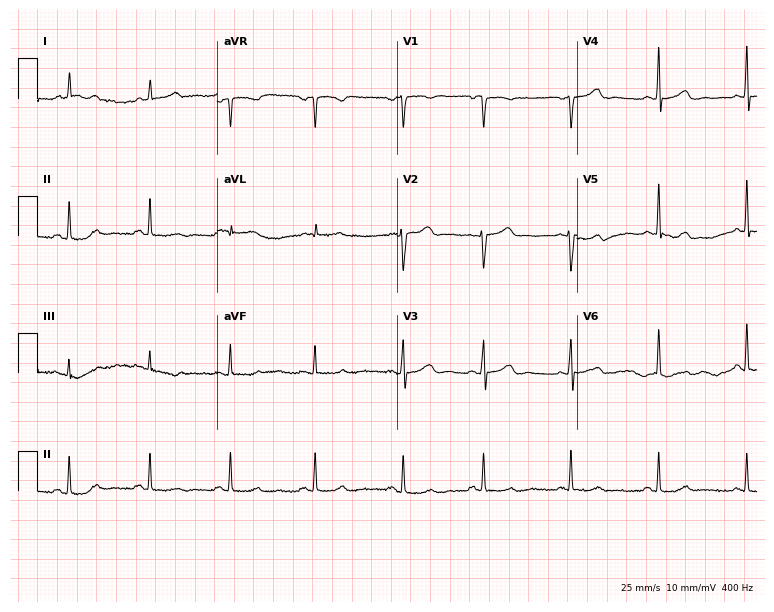
ECG — a 40-year-old female. Screened for six findings — first-degree AV block, right bundle branch block, left bundle branch block, sinus bradycardia, atrial fibrillation, sinus tachycardia — none is recorded. Other findings, if any, are not listed.